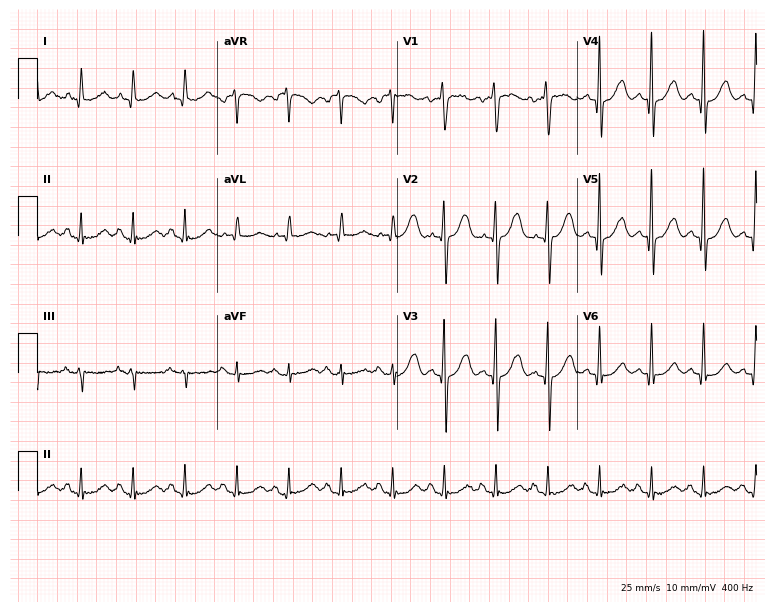
Standard 12-lead ECG recorded from a female, 67 years old. The tracing shows sinus tachycardia (a sinus rate of 100 beats per minute or more).